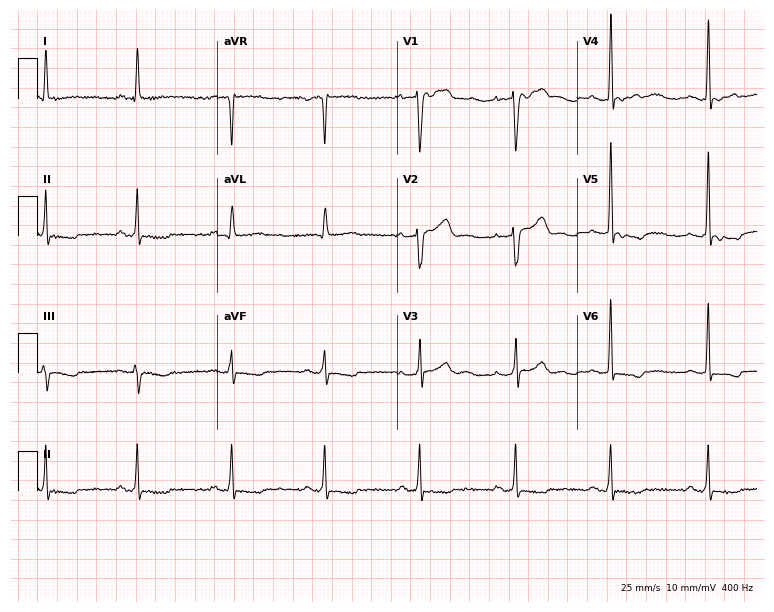
Standard 12-lead ECG recorded from a 56-year-old woman (7.3-second recording at 400 Hz). None of these six findings is recorded: first-degree AV block, right bundle branch block, left bundle branch block, sinus bradycardia, atrial fibrillation, sinus tachycardia.